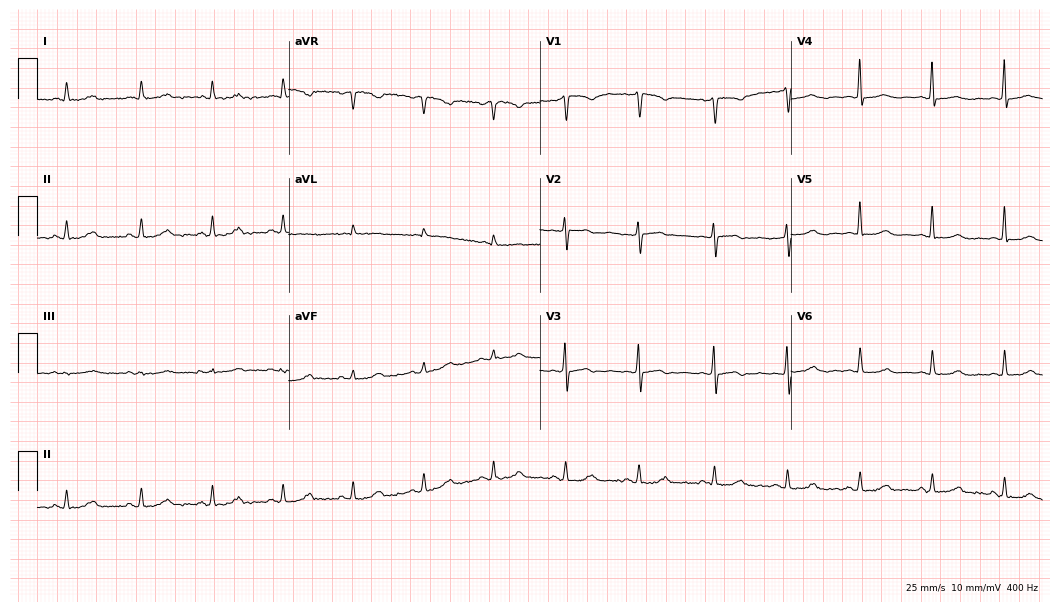
Resting 12-lead electrocardiogram (10.2-second recording at 400 Hz). Patient: a 58-year-old woman. None of these six findings is recorded: first-degree AV block, right bundle branch block, left bundle branch block, sinus bradycardia, atrial fibrillation, sinus tachycardia.